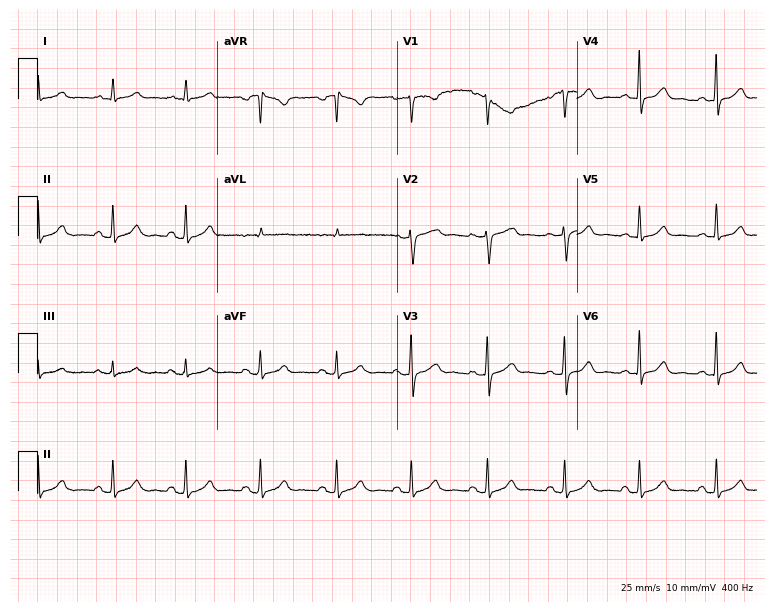
12-lead ECG from a female patient, 29 years old (7.3-second recording at 400 Hz). Recorded interpretation: within normal limits.